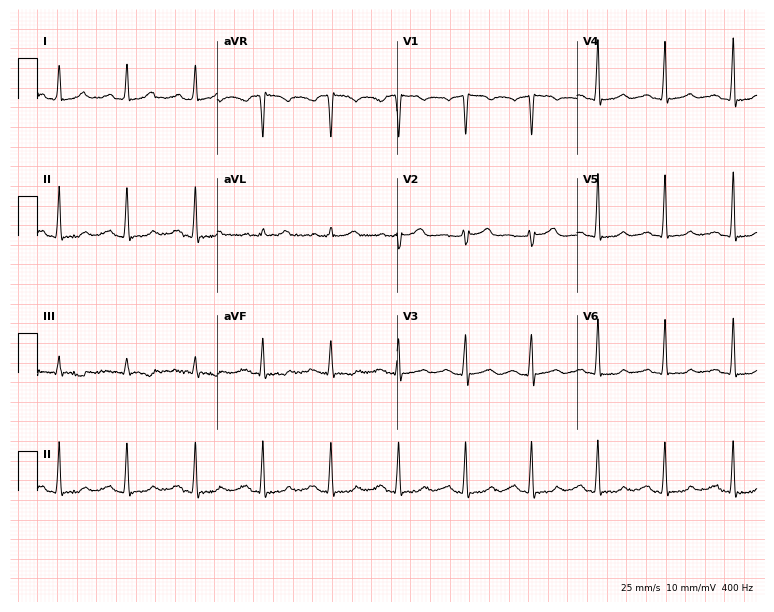
12-lead ECG from a 26-year-old female. No first-degree AV block, right bundle branch block, left bundle branch block, sinus bradycardia, atrial fibrillation or sinus tachycardia recorded for this tracing. Only these six findings were labelled.